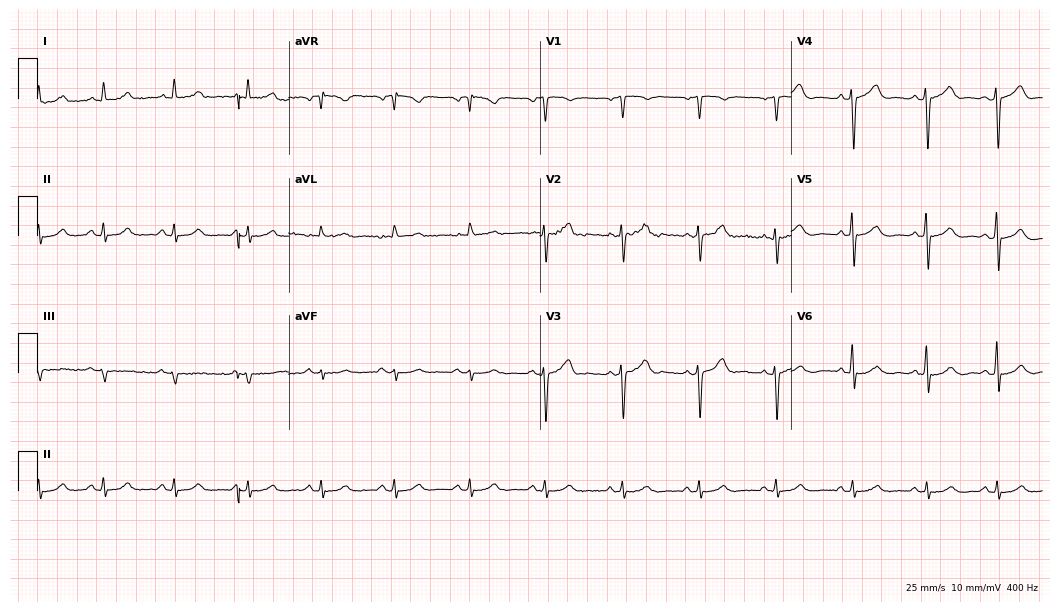
Electrocardiogram (10.2-second recording at 400 Hz), a 52-year-old male. Of the six screened findings (first-degree AV block, right bundle branch block (RBBB), left bundle branch block (LBBB), sinus bradycardia, atrial fibrillation (AF), sinus tachycardia), none is recorded. Only these six findings were labelled.